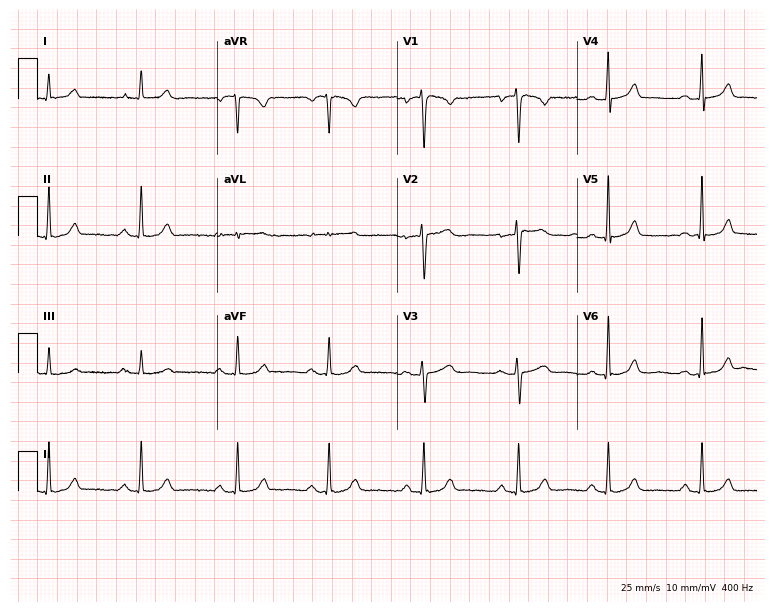
Electrocardiogram (7.3-second recording at 400 Hz), a female, 38 years old. Of the six screened findings (first-degree AV block, right bundle branch block, left bundle branch block, sinus bradycardia, atrial fibrillation, sinus tachycardia), none is recorded. Findings outside these six are not listed.